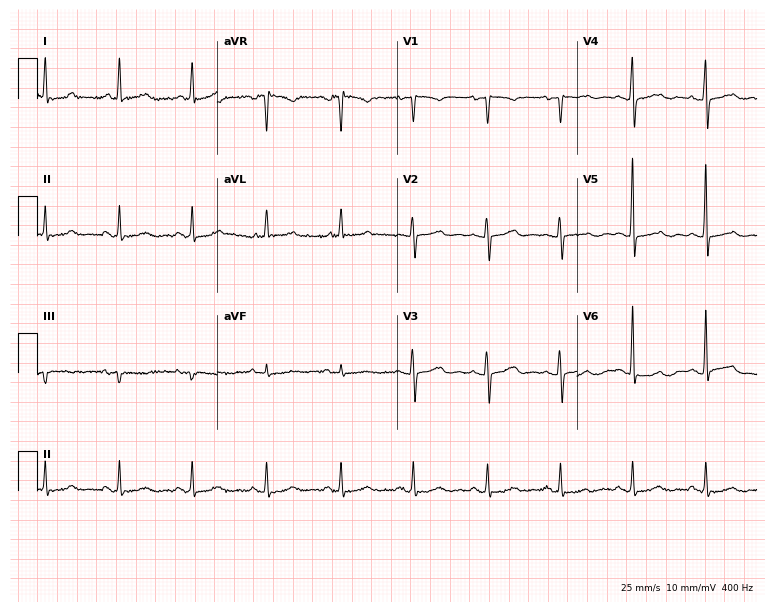
Electrocardiogram (7.3-second recording at 400 Hz), a woman, 63 years old. Overall reading on record: normal ECG.